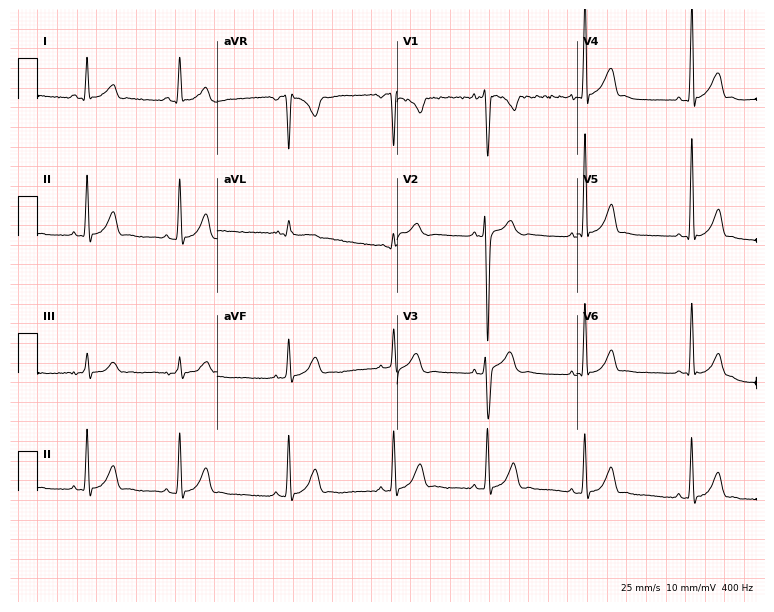
12-lead ECG from a male patient, 19 years old. Screened for six findings — first-degree AV block, right bundle branch block (RBBB), left bundle branch block (LBBB), sinus bradycardia, atrial fibrillation (AF), sinus tachycardia — none is recorded.